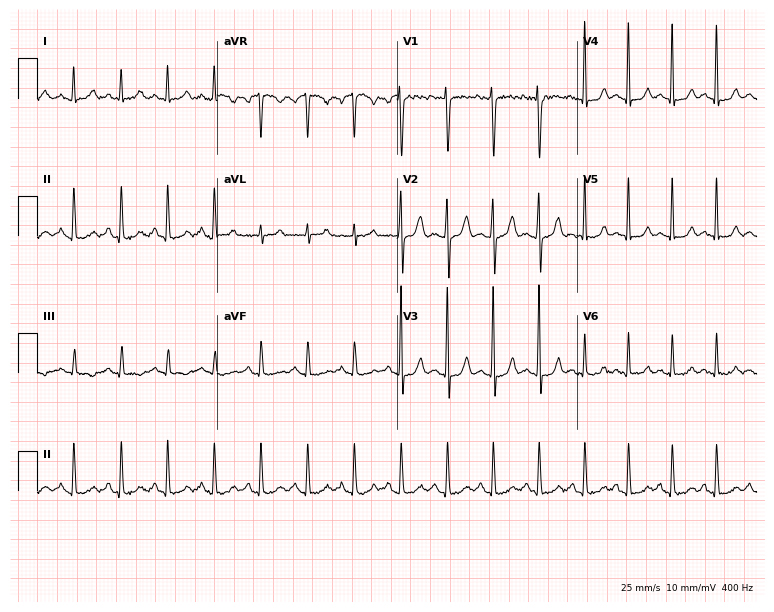
Resting 12-lead electrocardiogram. Patient: a female, 26 years old. The tracing shows sinus tachycardia (a sinus rate of 100 beats per minute or more).